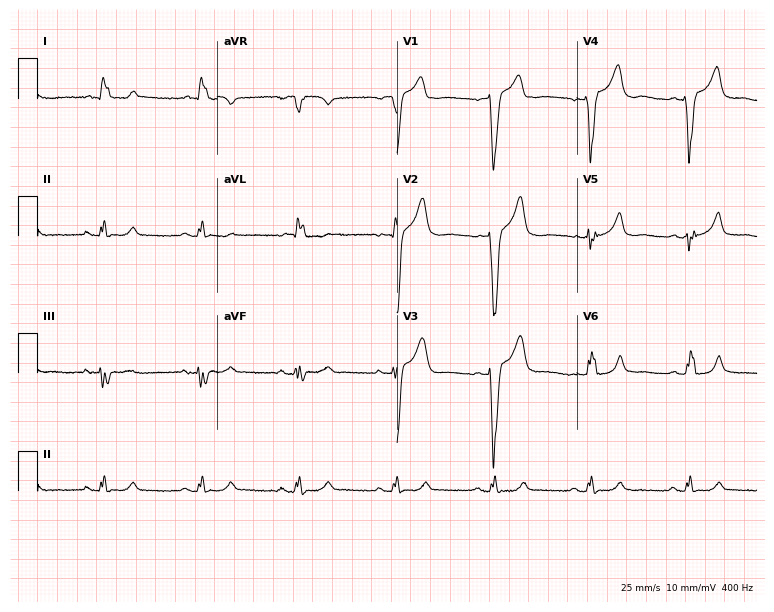
Resting 12-lead electrocardiogram (7.3-second recording at 400 Hz). Patient: a 66-year-old man. The tracing shows left bundle branch block.